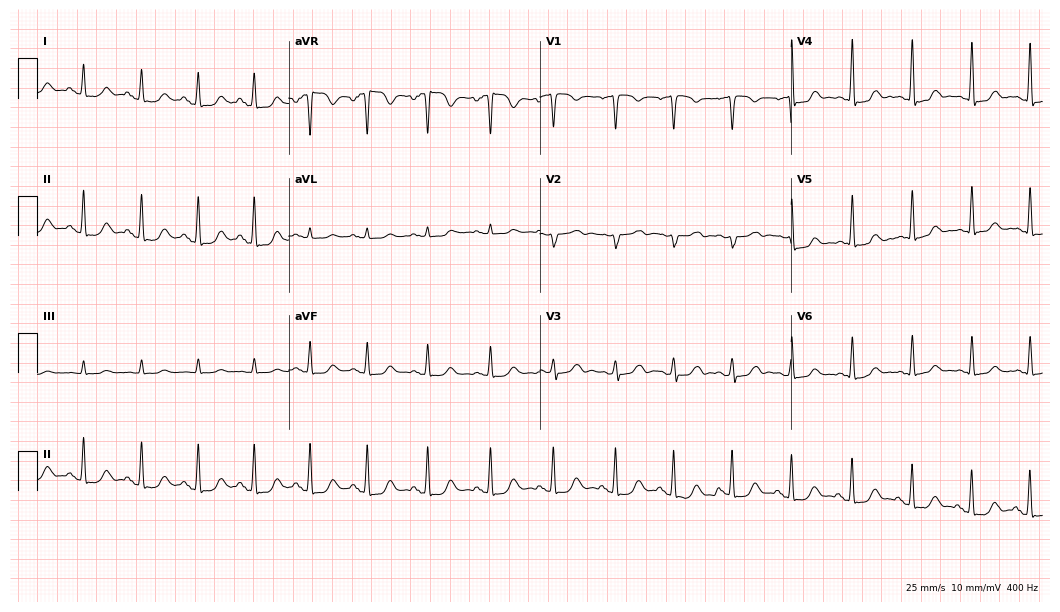
Standard 12-lead ECG recorded from a woman, 47 years old. None of these six findings is recorded: first-degree AV block, right bundle branch block (RBBB), left bundle branch block (LBBB), sinus bradycardia, atrial fibrillation (AF), sinus tachycardia. Only these six findings were labelled.